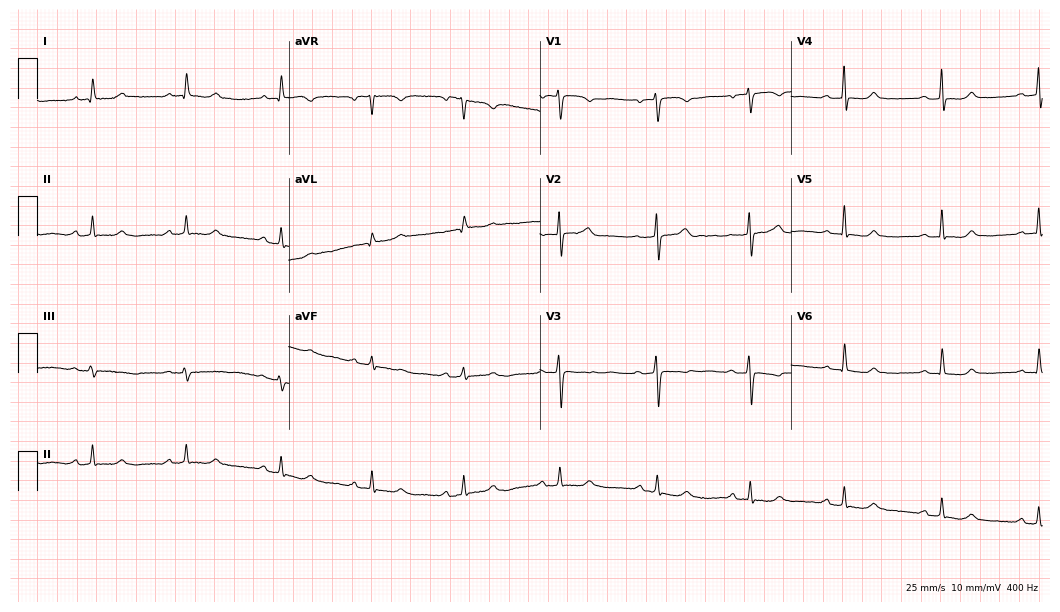
Electrocardiogram, a 53-year-old female patient. Overall reading on record: normal ECG.